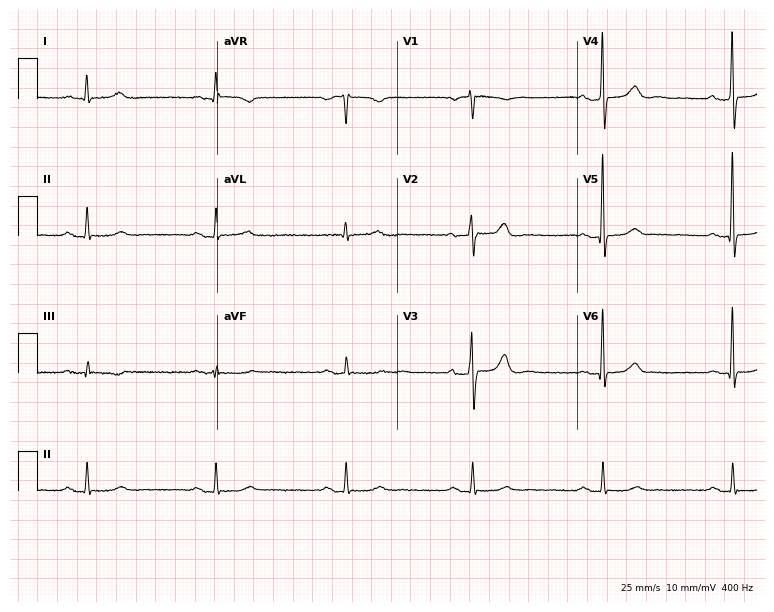
Resting 12-lead electrocardiogram. Patient: a male, 80 years old. None of these six findings is recorded: first-degree AV block, right bundle branch block, left bundle branch block, sinus bradycardia, atrial fibrillation, sinus tachycardia.